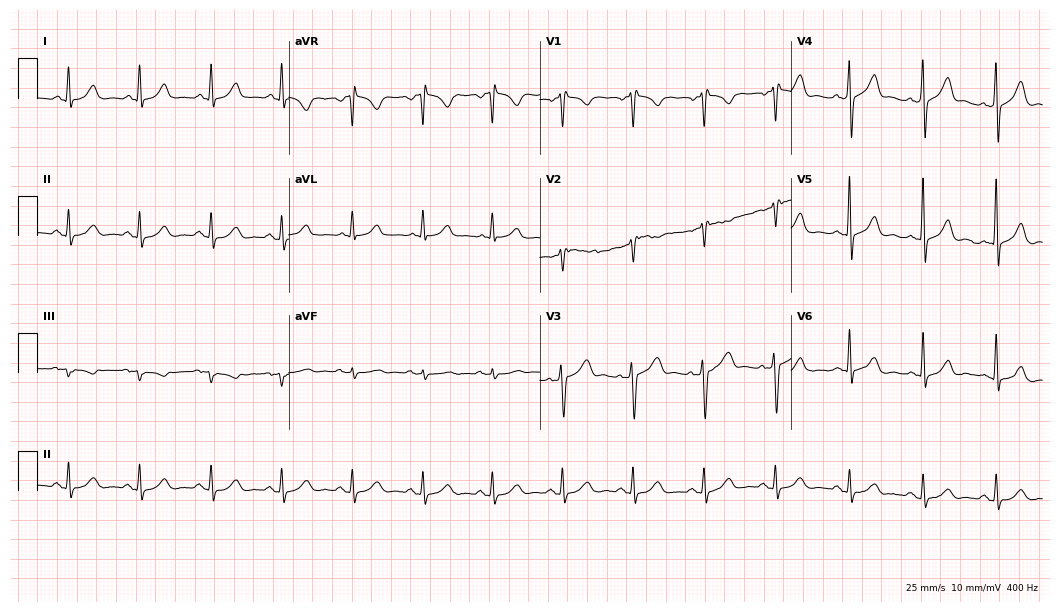
Electrocardiogram (10.2-second recording at 400 Hz), a 59-year-old male patient. Of the six screened findings (first-degree AV block, right bundle branch block, left bundle branch block, sinus bradycardia, atrial fibrillation, sinus tachycardia), none is recorded.